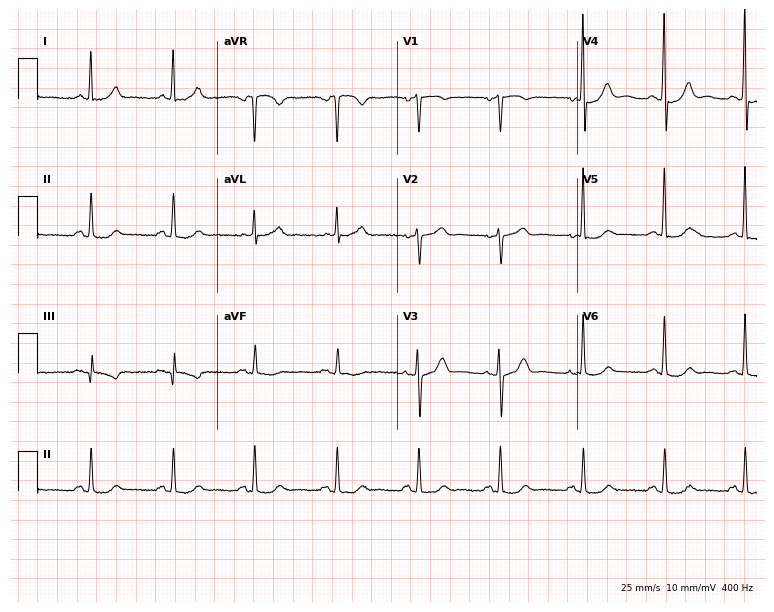
Electrocardiogram (7.3-second recording at 400 Hz), a woman, 59 years old. Overall reading on record: normal ECG.